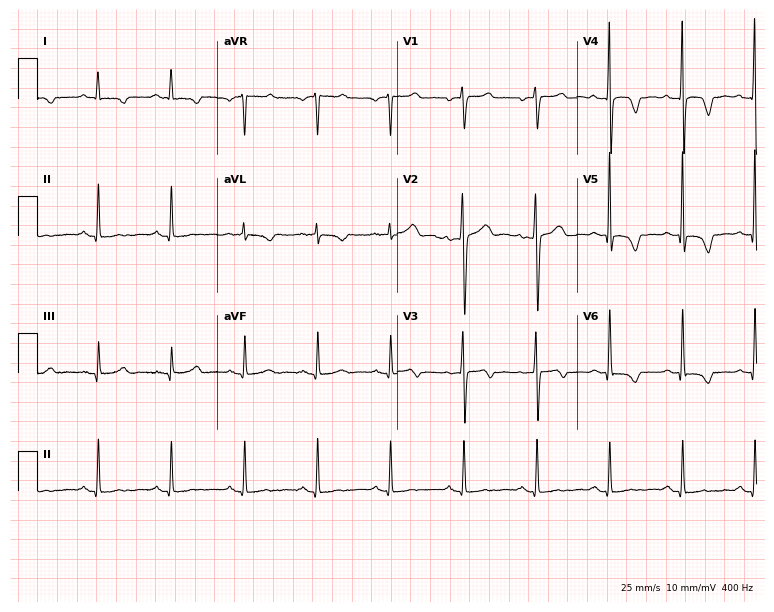
Electrocardiogram (7.3-second recording at 400 Hz), a 63-year-old female patient. Of the six screened findings (first-degree AV block, right bundle branch block (RBBB), left bundle branch block (LBBB), sinus bradycardia, atrial fibrillation (AF), sinus tachycardia), none is recorded.